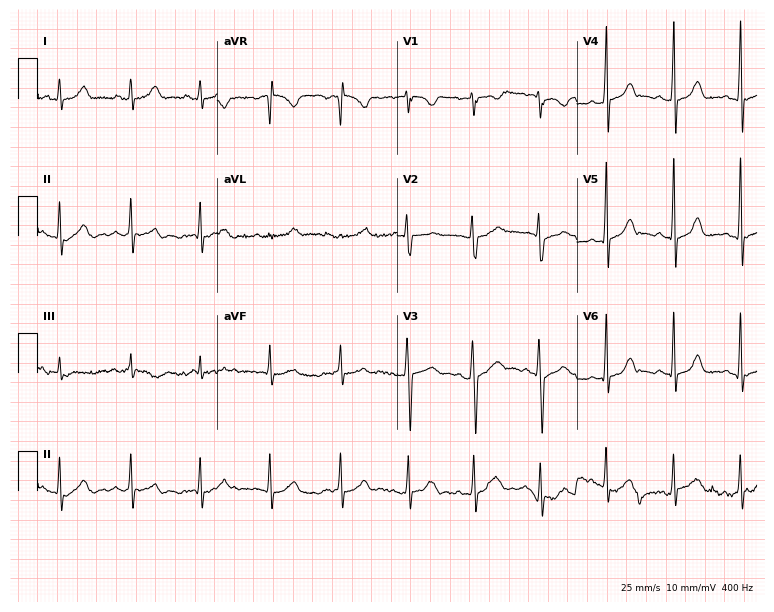
Electrocardiogram, a female, 22 years old. Overall reading on record: normal ECG.